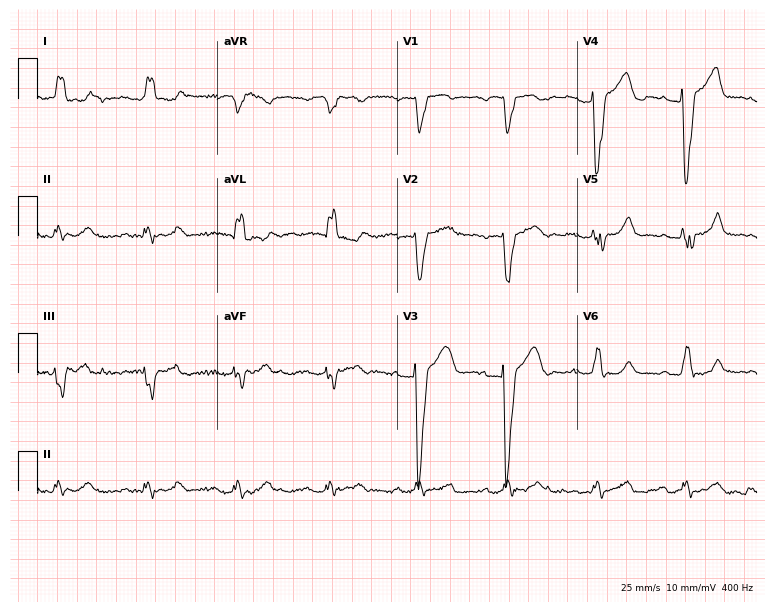
Electrocardiogram (7.3-second recording at 400 Hz), a 70-year-old female patient. Interpretation includes first-degree AV block, left bundle branch block.